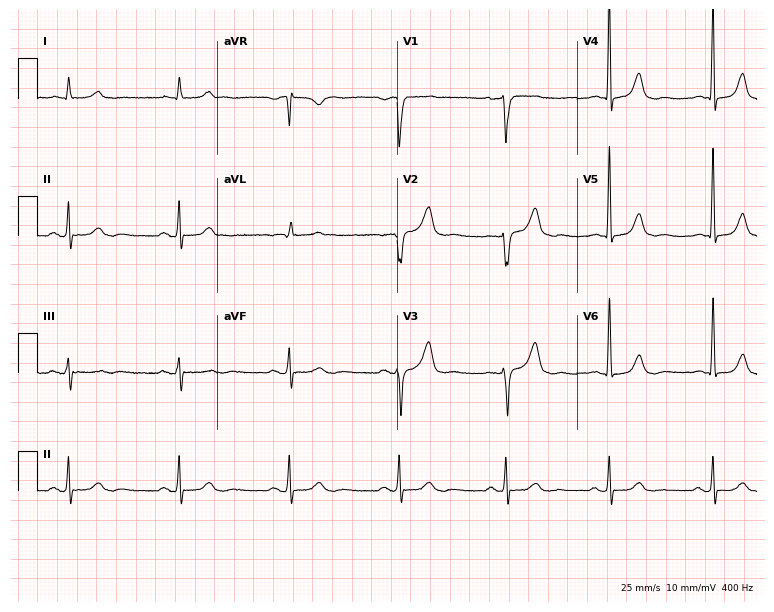
Resting 12-lead electrocardiogram. Patient: an 84-year-old man. None of these six findings is recorded: first-degree AV block, right bundle branch block (RBBB), left bundle branch block (LBBB), sinus bradycardia, atrial fibrillation (AF), sinus tachycardia.